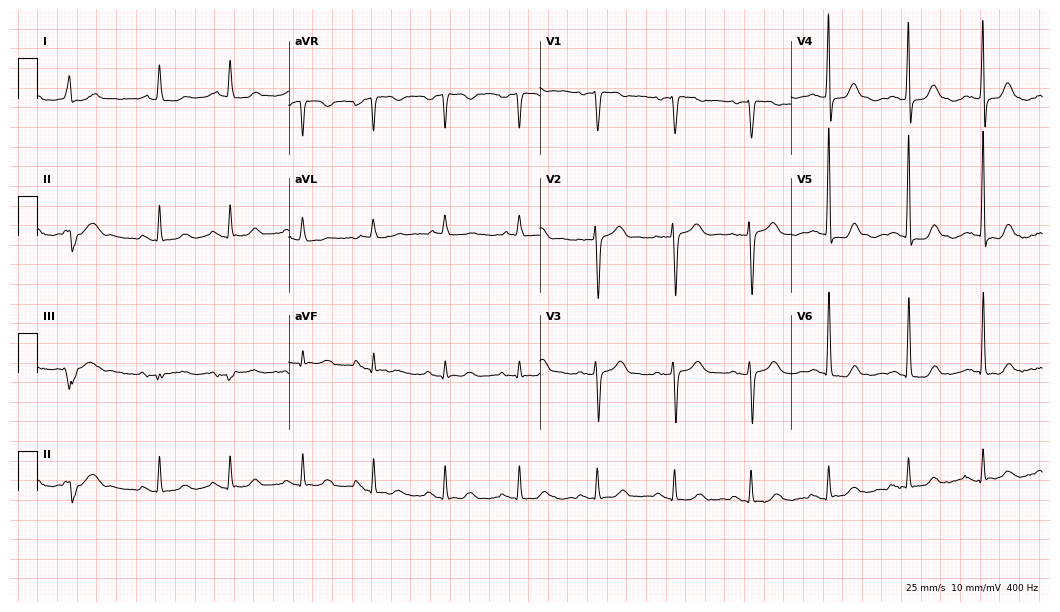
12-lead ECG from a woman, 81 years old. No first-degree AV block, right bundle branch block, left bundle branch block, sinus bradycardia, atrial fibrillation or sinus tachycardia recorded for this tracing. Other findings, if any, are not listed.